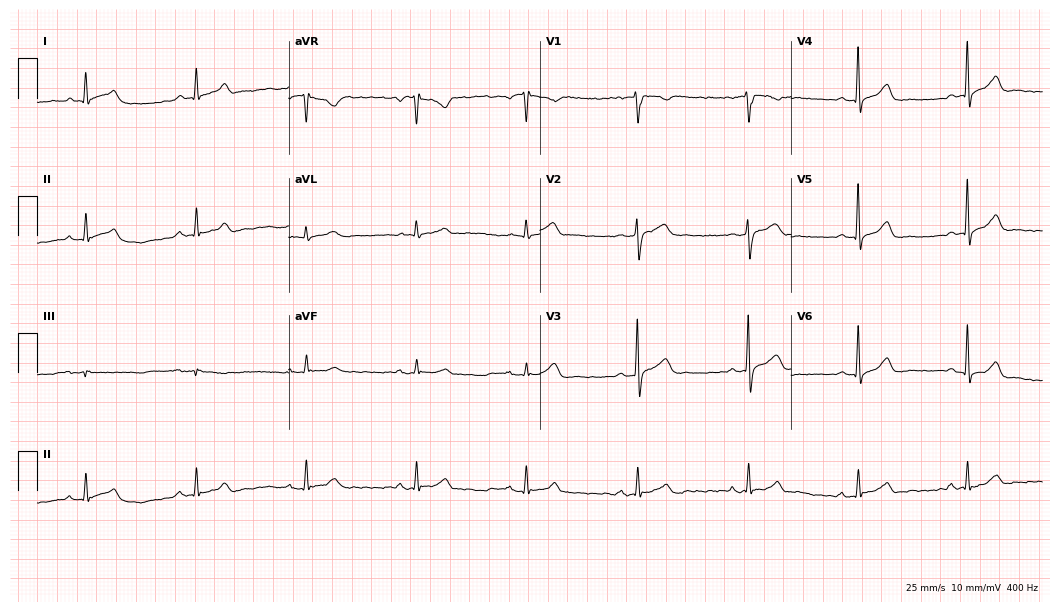
Standard 12-lead ECG recorded from a 62-year-old male patient. Read as a normal ECG.